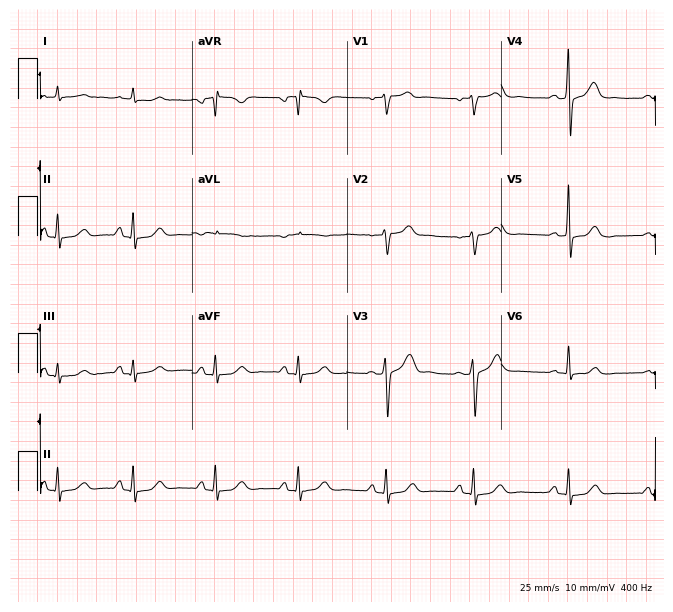
Standard 12-lead ECG recorded from a female, 72 years old (6.3-second recording at 400 Hz). None of these six findings is recorded: first-degree AV block, right bundle branch block (RBBB), left bundle branch block (LBBB), sinus bradycardia, atrial fibrillation (AF), sinus tachycardia.